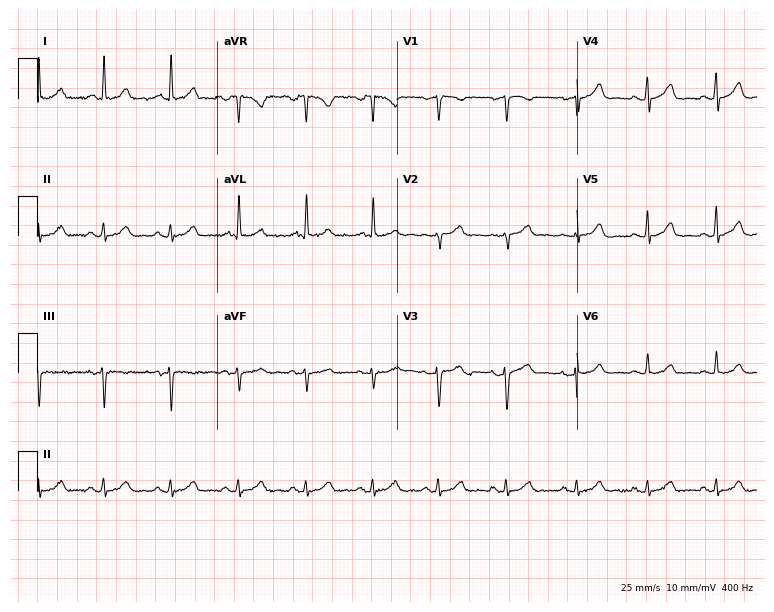
Electrocardiogram (7.3-second recording at 400 Hz), a woman, 57 years old. Of the six screened findings (first-degree AV block, right bundle branch block, left bundle branch block, sinus bradycardia, atrial fibrillation, sinus tachycardia), none is recorded. Only these six findings were labelled.